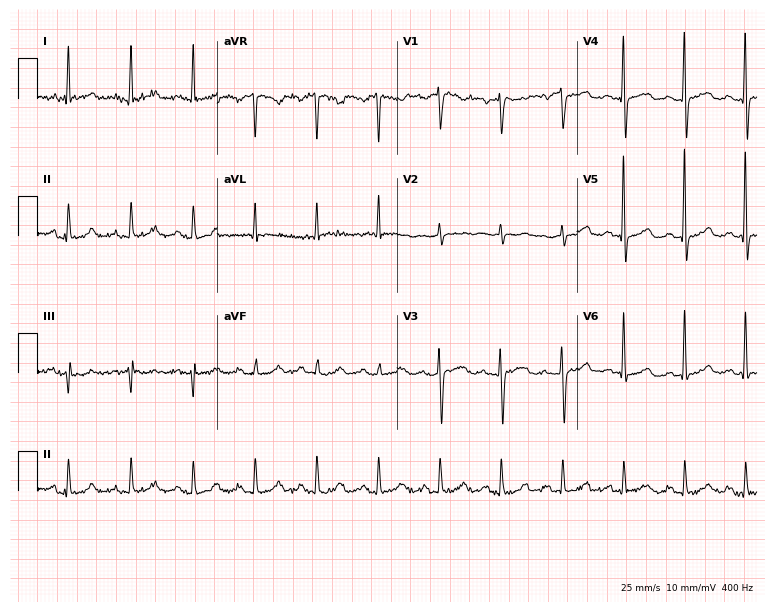
ECG — a 53-year-old female. Screened for six findings — first-degree AV block, right bundle branch block, left bundle branch block, sinus bradycardia, atrial fibrillation, sinus tachycardia — none is recorded. Only these six findings were labelled.